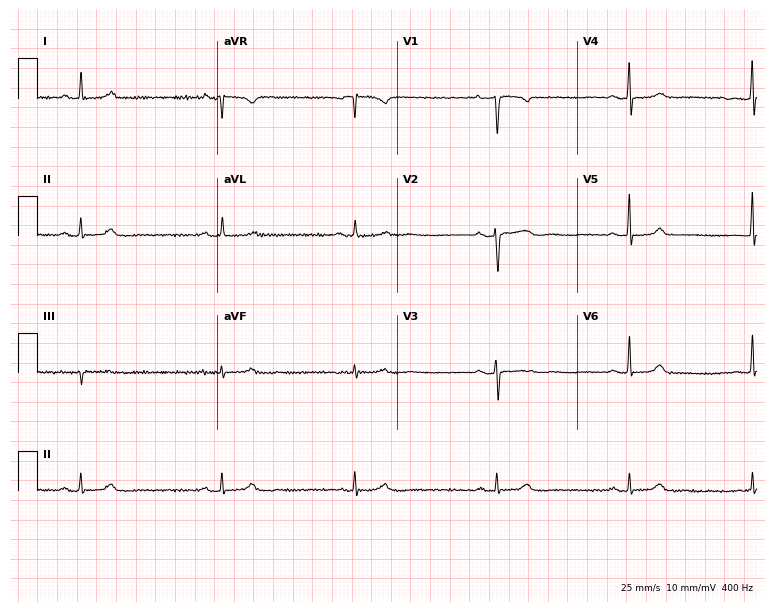
12-lead ECG from a female, 42 years old (7.3-second recording at 400 Hz). Shows sinus bradycardia (a sinus rate of 50 beats per minute or less).